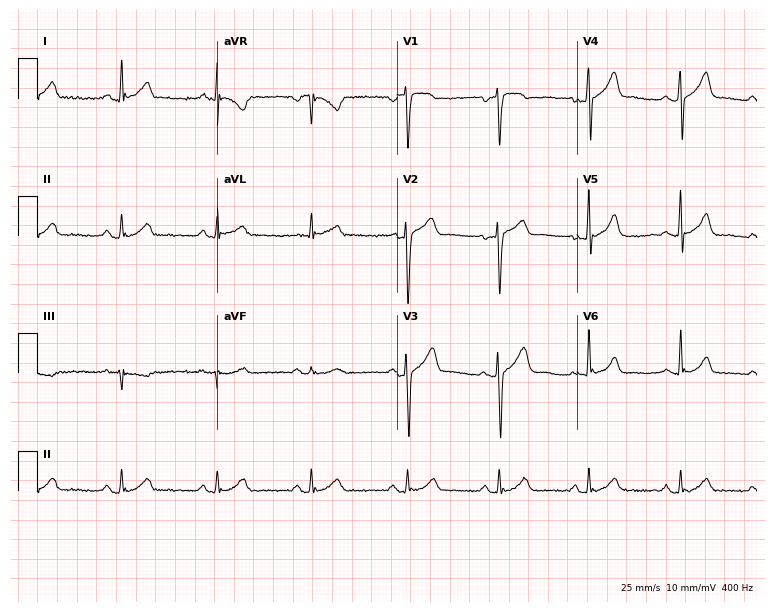
12-lead ECG from a male patient, 26 years old. Labelled as a normal ECG.